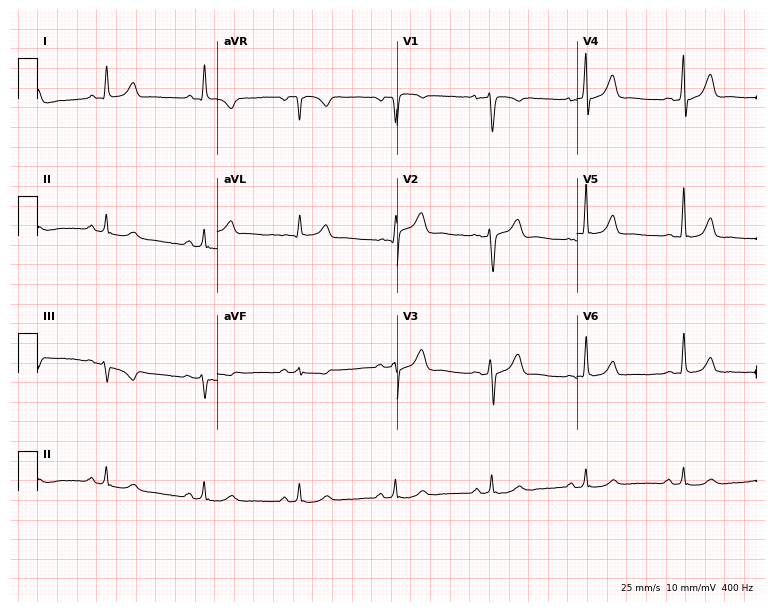
ECG — a male patient, 40 years old. Screened for six findings — first-degree AV block, right bundle branch block (RBBB), left bundle branch block (LBBB), sinus bradycardia, atrial fibrillation (AF), sinus tachycardia — none is recorded.